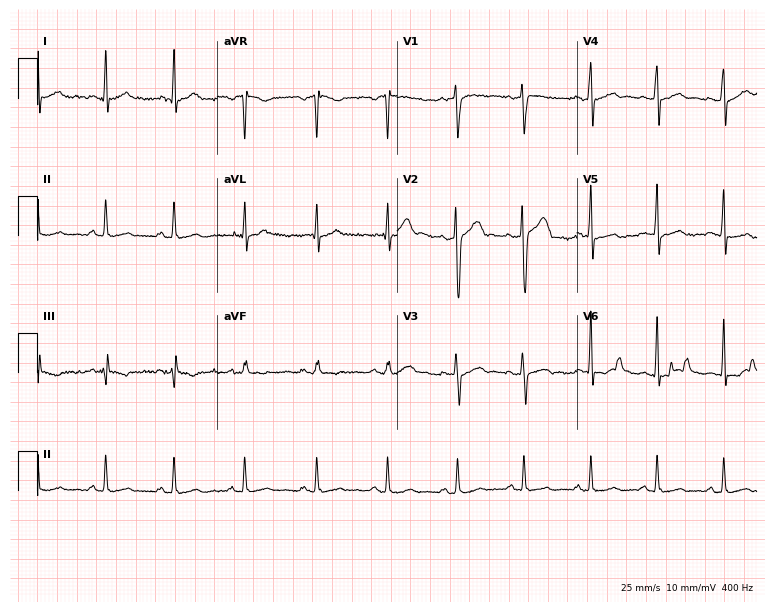
ECG (7.3-second recording at 400 Hz) — a man, 23 years old. Labelled as a normal ECG.